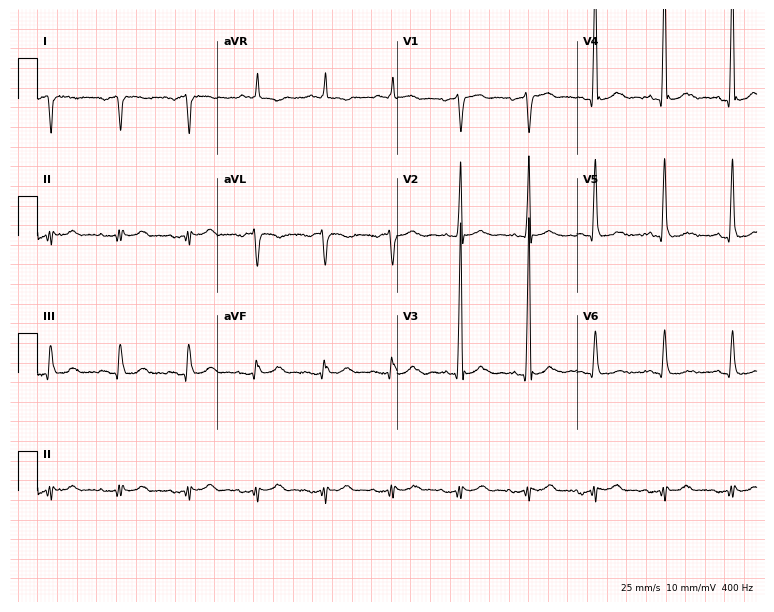
Resting 12-lead electrocardiogram. Patient: a 79-year-old male. None of these six findings is recorded: first-degree AV block, right bundle branch block, left bundle branch block, sinus bradycardia, atrial fibrillation, sinus tachycardia.